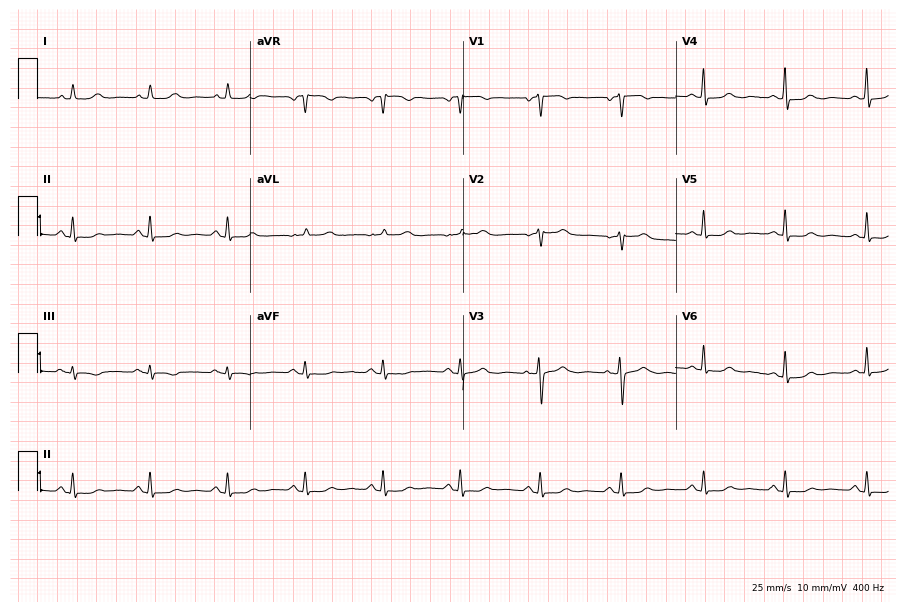
Electrocardiogram, a female patient, 70 years old. Overall reading on record: normal ECG.